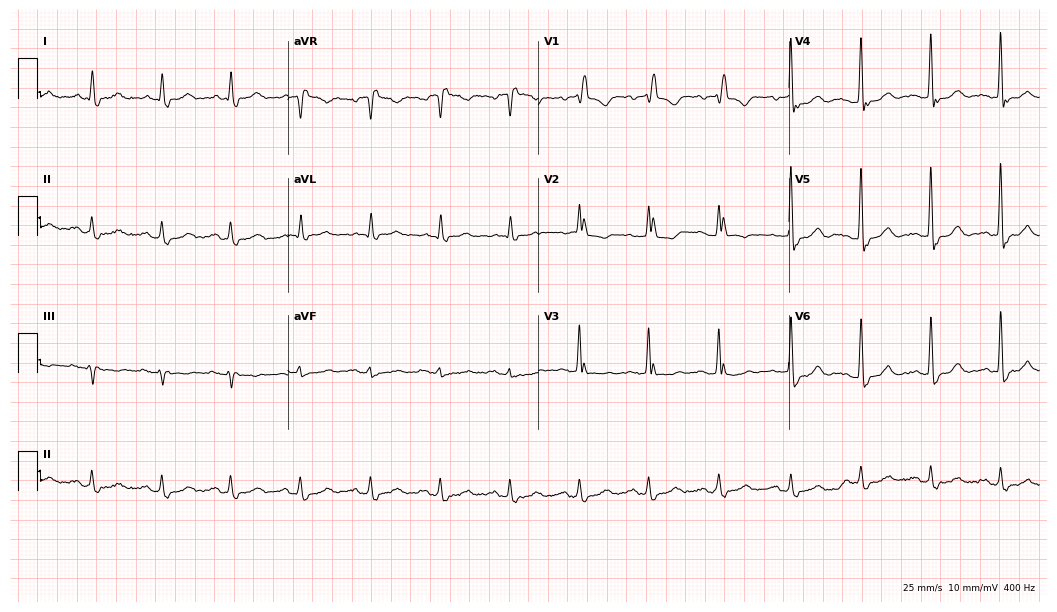
Resting 12-lead electrocardiogram. Patient: a 78-year-old male. The tracing shows right bundle branch block.